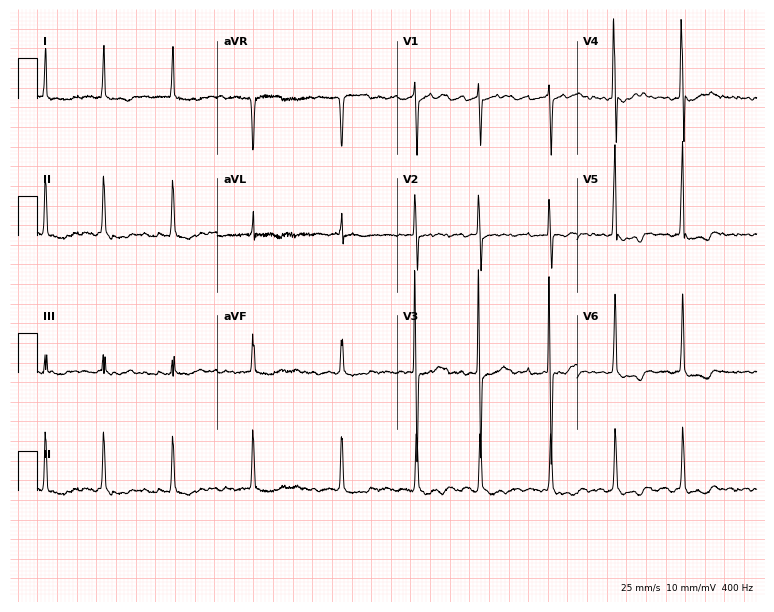
ECG (7.3-second recording at 400 Hz) — a 76-year-old male. Findings include atrial fibrillation.